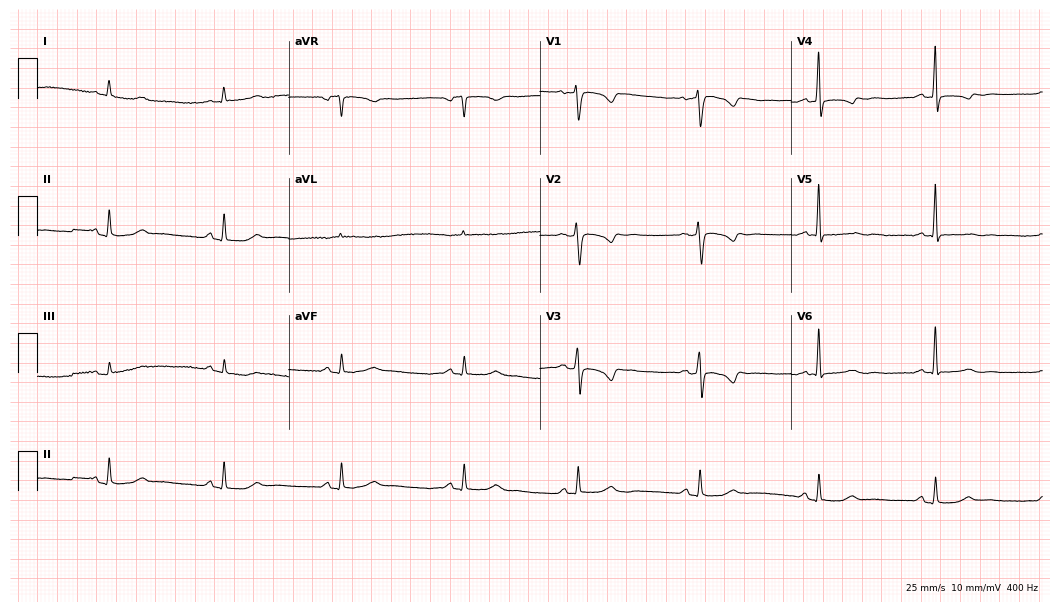
Resting 12-lead electrocardiogram. Patient: a 62-year-old woman. None of these six findings is recorded: first-degree AV block, right bundle branch block, left bundle branch block, sinus bradycardia, atrial fibrillation, sinus tachycardia.